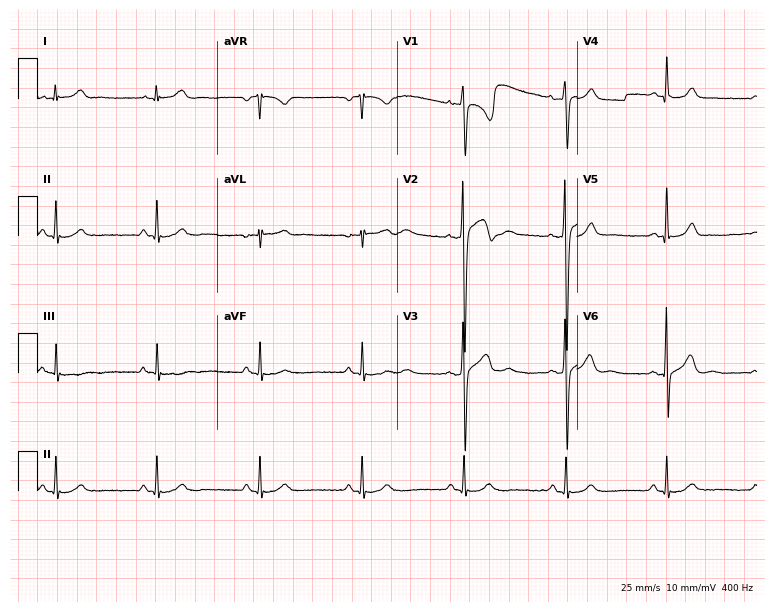
Electrocardiogram, a 53-year-old man. Of the six screened findings (first-degree AV block, right bundle branch block, left bundle branch block, sinus bradycardia, atrial fibrillation, sinus tachycardia), none is recorded. Findings outside these six are not listed.